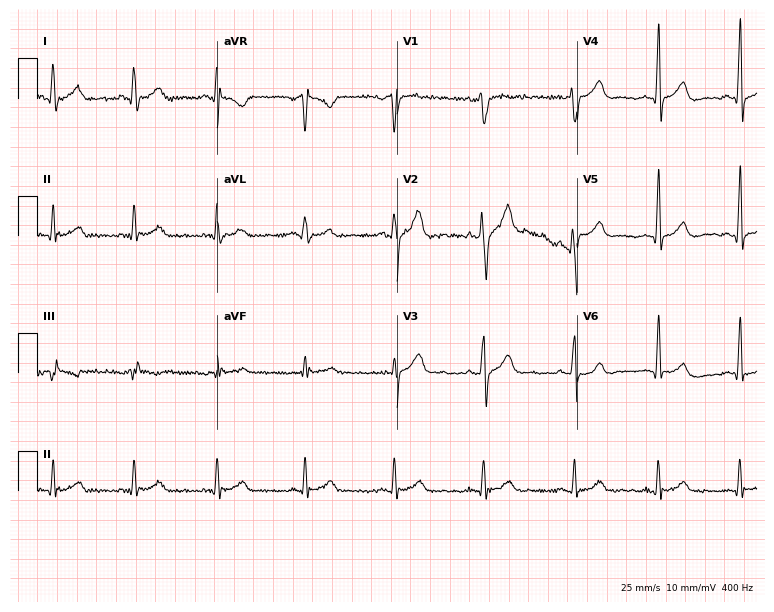
Standard 12-lead ECG recorded from a 32-year-old male (7.3-second recording at 400 Hz). None of these six findings is recorded: first-degree AV block, right bundle branch block, left bundle branch block, sinus bradycardia, atrial fibrillation, sinus tachycardia.